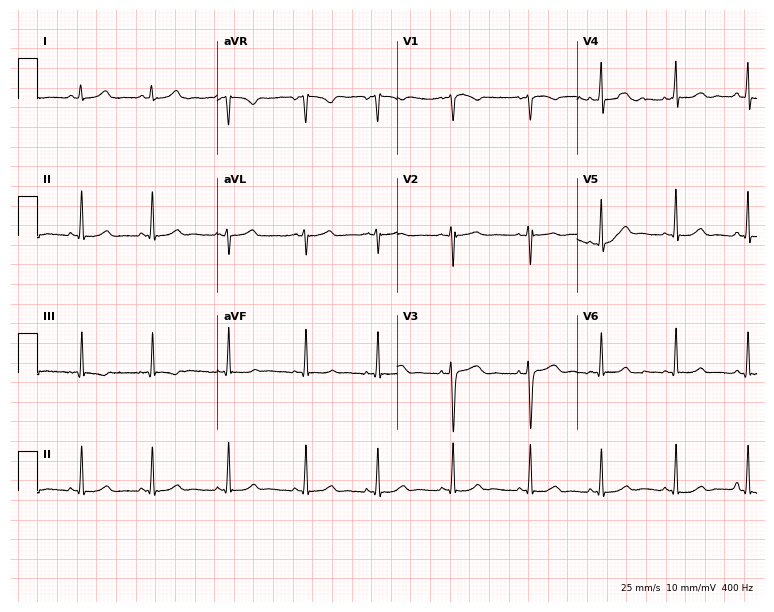
ECG (7.3-second recording at 400 Hz) — a female patient, 19 years old. Screened for six findings — first-degree AV block, right bundle branch block (RBBB), left bundle branch block (LBBB), sinus bradycardia, atrial fibrillation (AF), sinus tachycardia — none is recorded. Other findings, if any, are not listed.